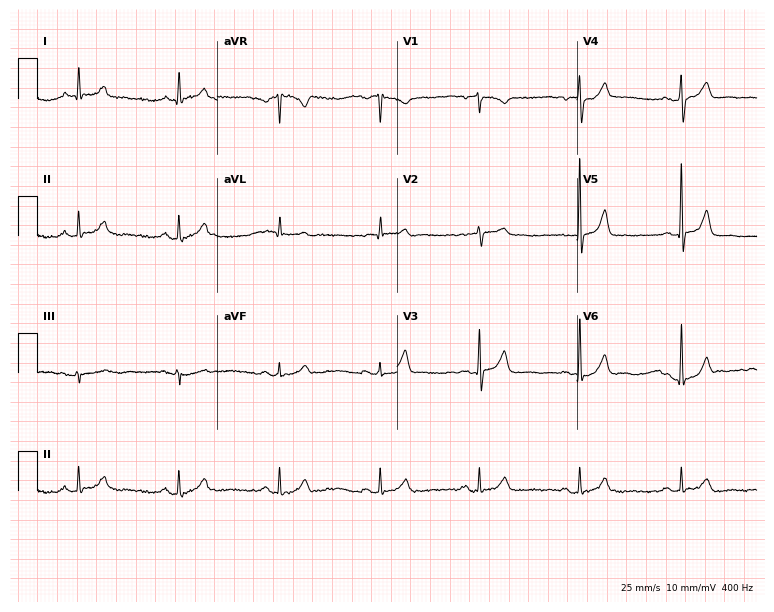
Resting 12-lead electrocardiogram. Patient: a 62-year-old female. Read as a normal ECG.